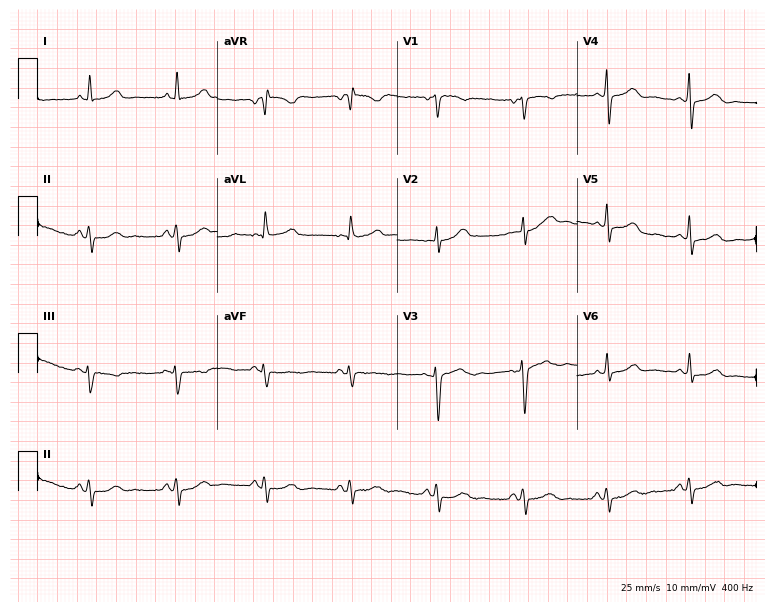
Electrocardiogram, a 43-year-old woman. Of the six screened findings (first-degree AV block, right bundle branch block (RBBB), left bundle branch block (LBBB), sinus bradycardia, atrial fibrillation (AF), sinus tachycardia), none is recorded. Findings outside these six are not listed.